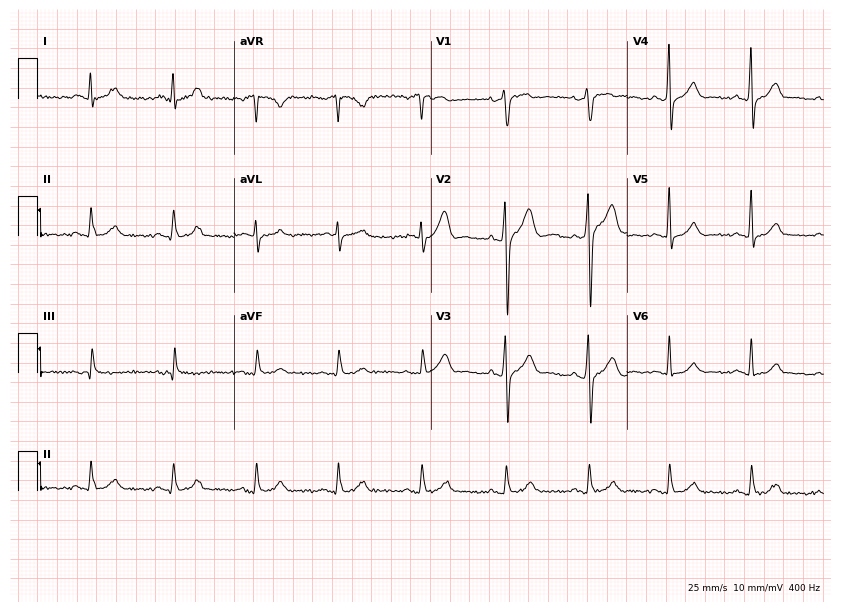
12-lead ECG from a 47-year-old male. Screened for six findings — first-degree AV block, right bundle branch block, left bundle branch block, sinus bradycardia, atrial fibrillation, sinus tachycardia — none is recorded. Only these six findings were labelled.